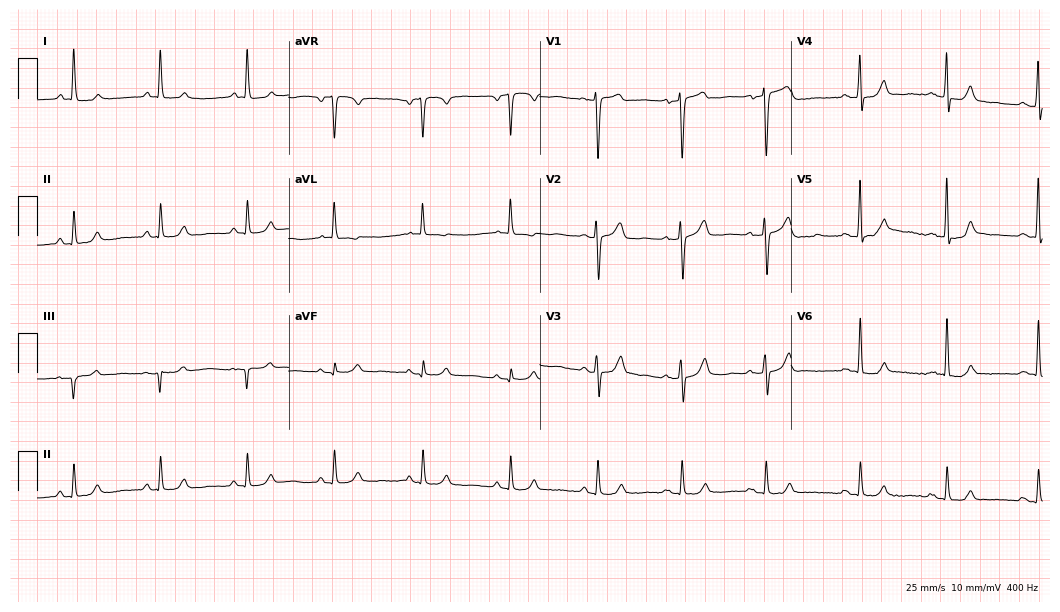
12-lead ECG from a 75-year-old female patient. Labelled as a normal ECG.